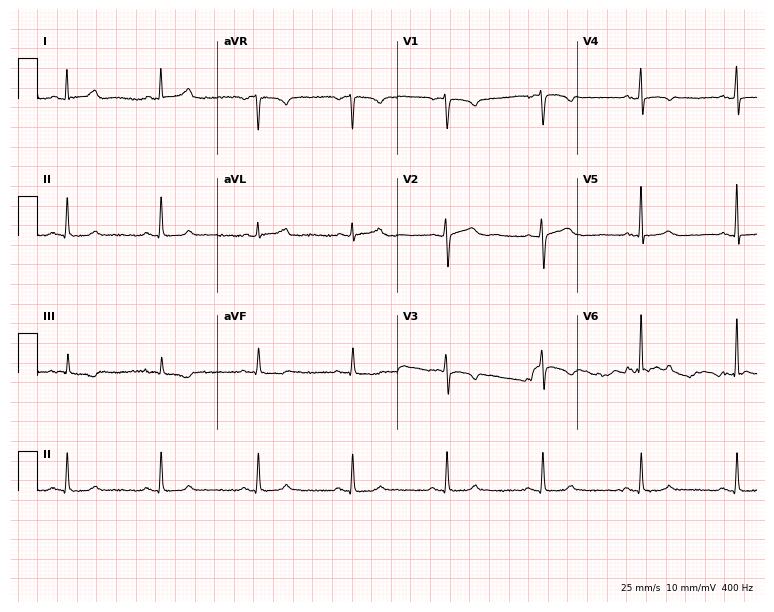
Resting 12-lead electrocardiogram. Patient: a woman, 34 years old. None of these six findings is recorded: first-degree AV block, right bundle branch block, left bundle branch block, sinus bradycardia, atrial fibrillation, sinus tachycardia.